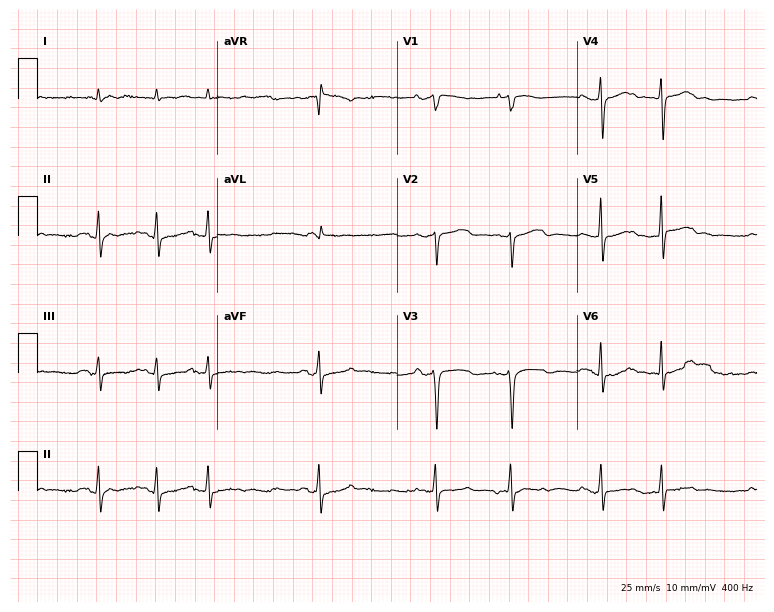
12-lead ECG from a 73-year-old man. No first-degree AV block, right bundle branch block, left bundle branch block, sinus bradycardia, atrial fibrillation or sinus tachycardia recorded for this tracing. Only these six findings were labelled.